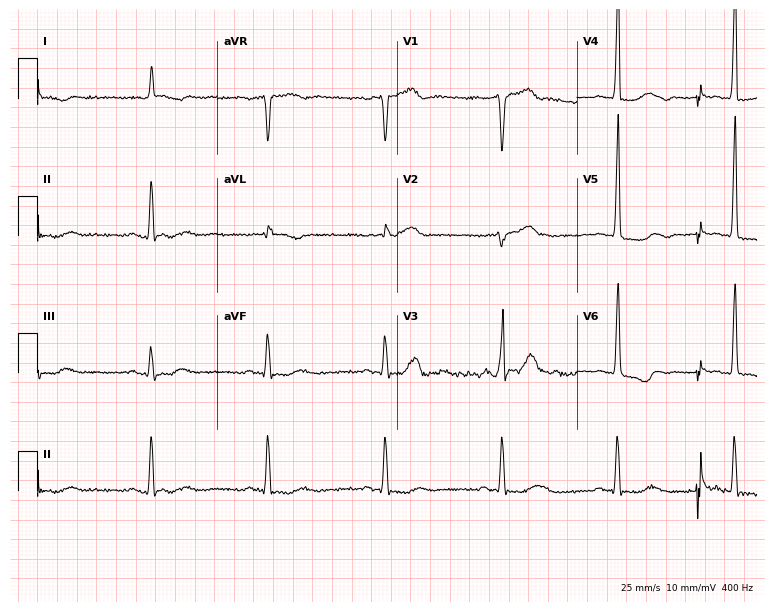
Resting 12-lead electrocardiogram. Patient: a 74-year-old woman. None of these six findings is recorded: first-degree AV block, right bundle branch block, left bundle branch block, sinus bradycardia, atrial fibrillation, sinus tachycardia. Only these six findings were labelled.